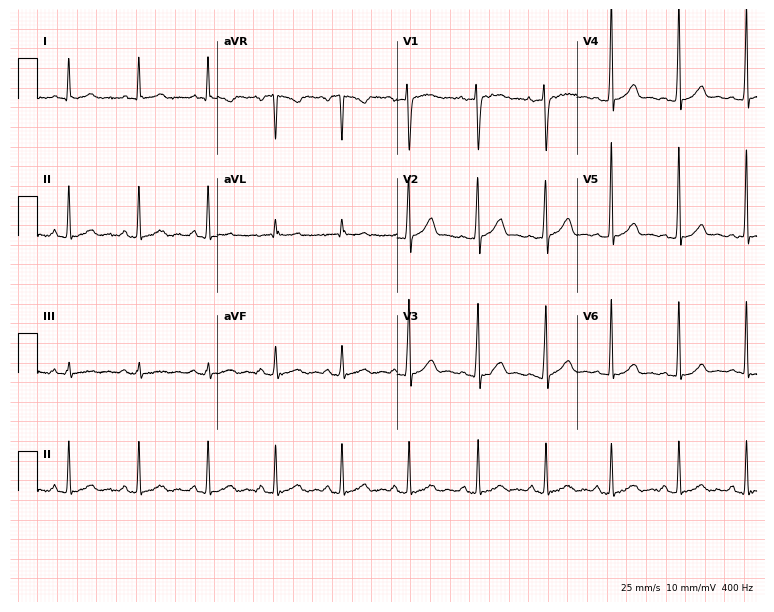
12-lead ECG (7.3-second recording at 400 Hz) from a man, 29 years old. Screened for six findings — first-degree AV block, right bundle branch block (RBBB), left bundle branch block (LBBB), sinus bradycardia, atrial fibrillation (AF), sinus tachycardia — none is recorded. Other findings, if any, are not listed.